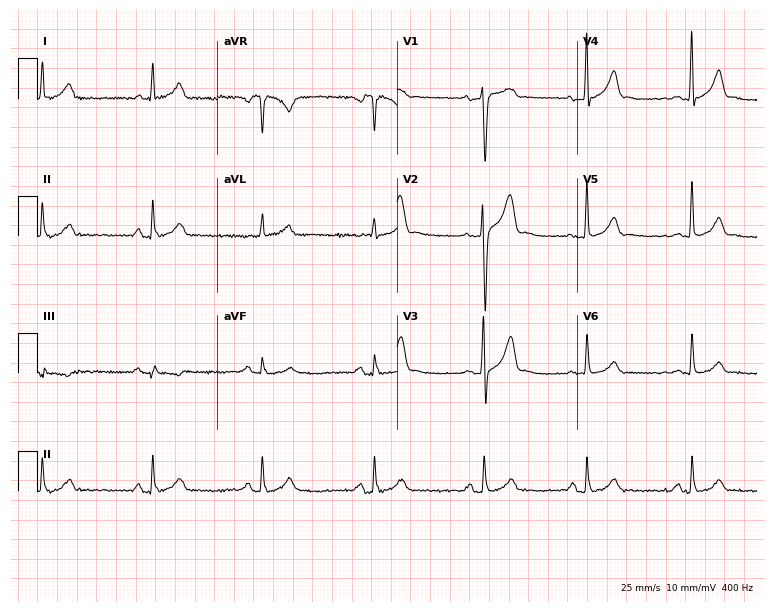
ECG (7.3-second recording at 400 Hz) — a male patient, 26 years old. Labelled as a normal ECG.